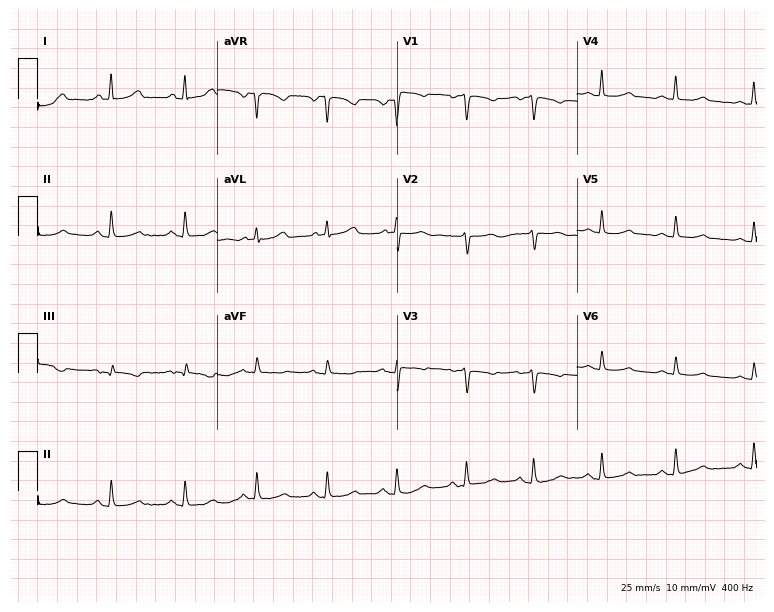
12-lead ECG from a woman, 51 years old. Screened for six findings — first-degree AV block, right bundle branch block, left bundle branch block, sinus bradycardia, atrial fibrillation, sinus tachycardia — none is recorded. Only these six findings were labelled.